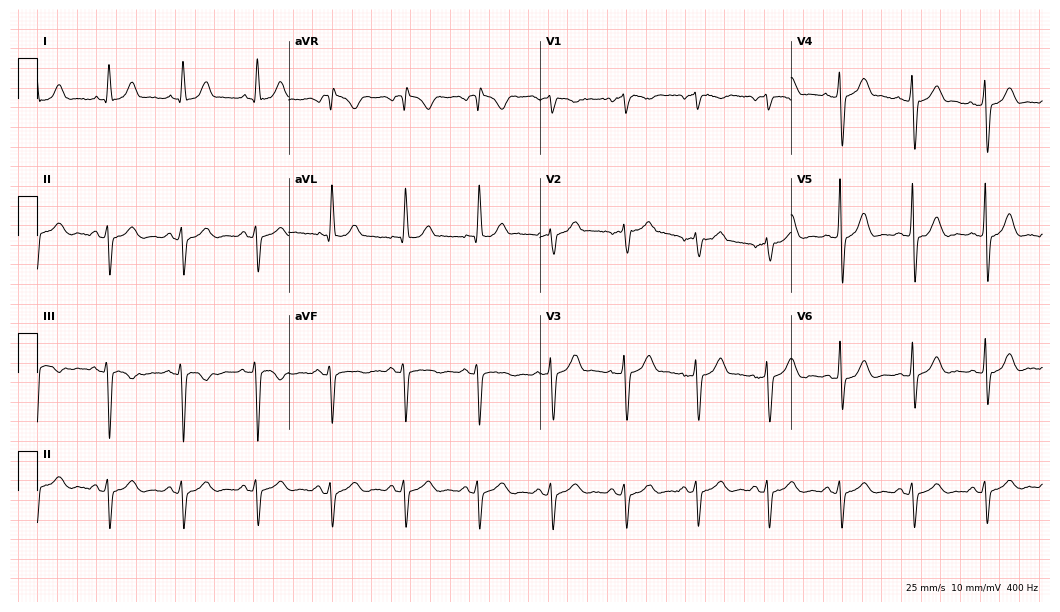
Standard 12-lead ECG recorded from a male, 76 years old. None of these six findings is recorded: first-degree AV block, right bundle branch block, left bundle branch block, sinus bradycardia, atrial fibrillation, sinus tachycardia. Only these six findings were labelled.